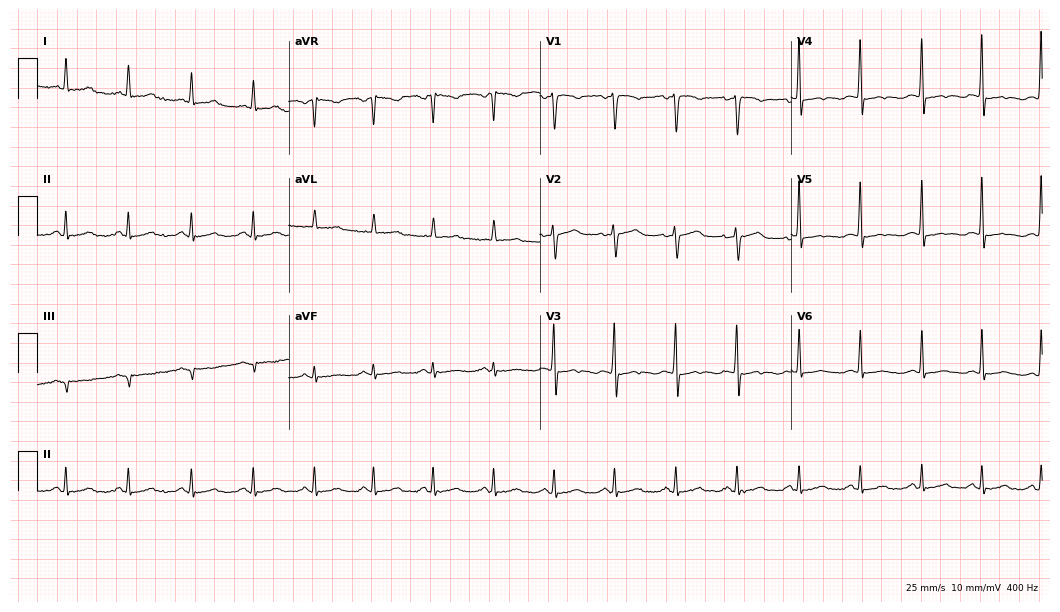
12-lead ECG from a 47-year-old female. Screened for six findings — first-degree AV block, right bundle branch block, left bundle branch block, sinus bradycardia, atrial fibrillation, sinus tachycardia — none is recorded.